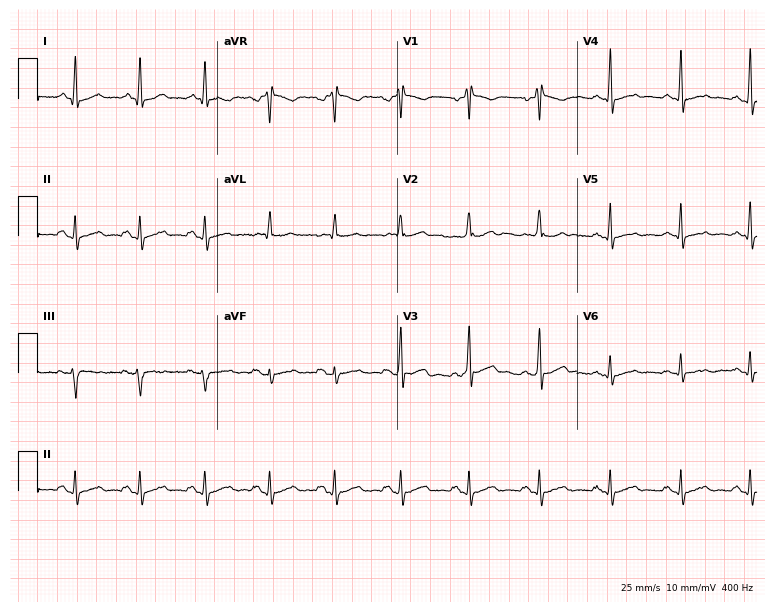
Electrocardiogram (7.3-second recording at 400 Hz), a male patient, 44 years old. Of the six screened findings (first-degree AV block, right bundle branch block (RBBB), left bundle branch block (LBBB), sinus bradycardia, atrial fibrillation (AF), sinus tachycardia), none is recorded. Only these six findings were labelled.